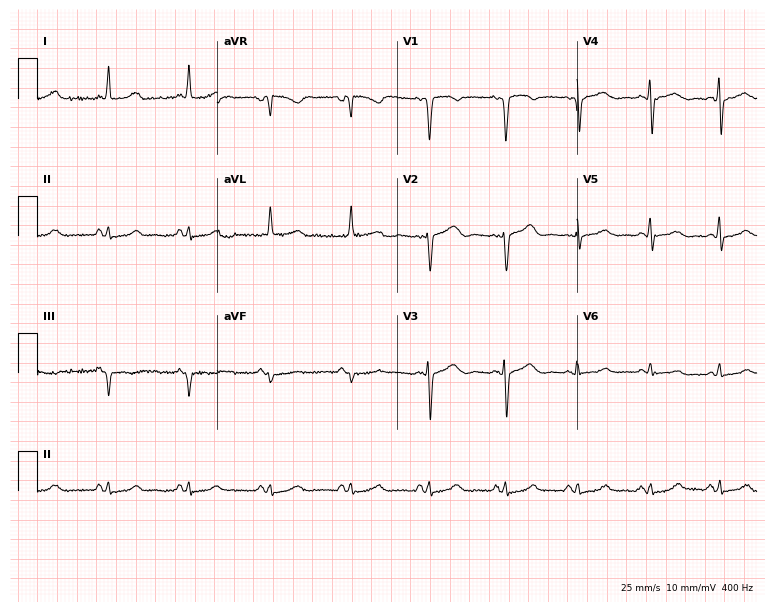
12-lead ECG from a female patient, 74 years old. Labelled as a normal ECG.